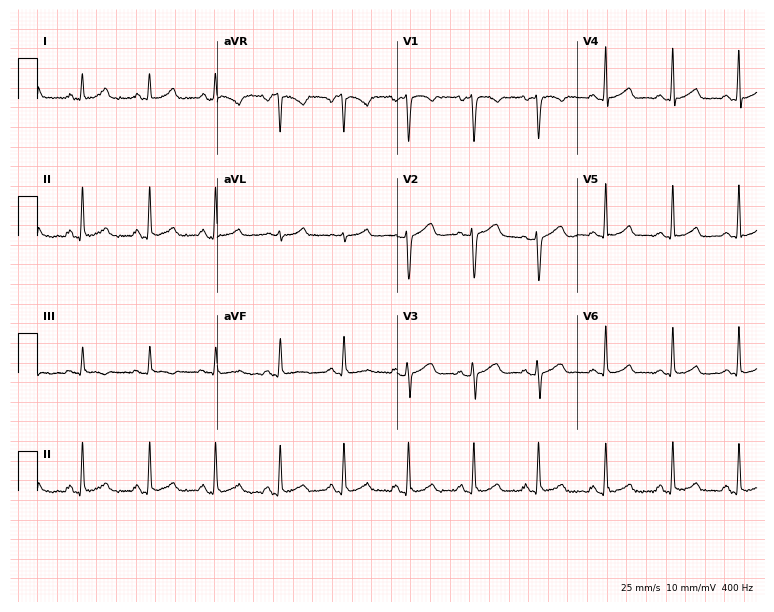
ECG — a 40-year-old female. Labelled as a normal ECG.